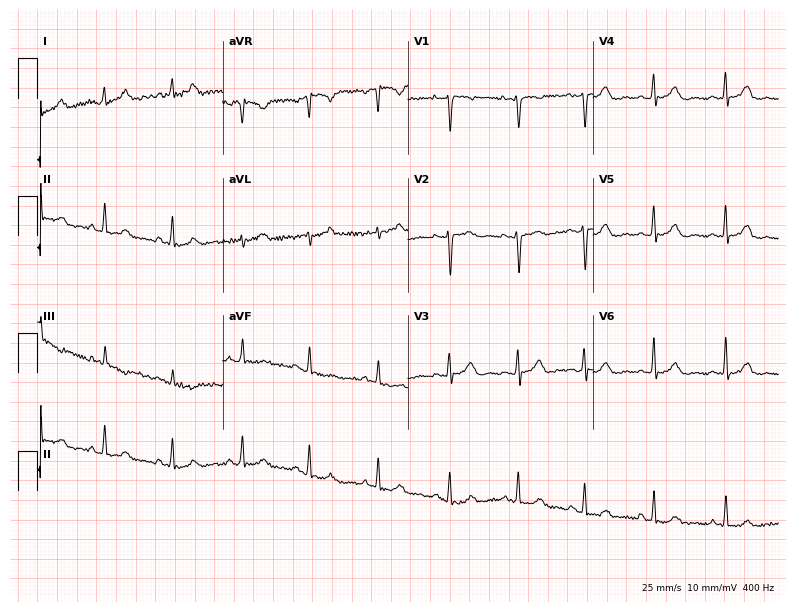
Resting 12-lead electrocardiogram (7.6-second recording at 400 Hz). Patient: a 47-year-old woman. Read as a normal ECG.